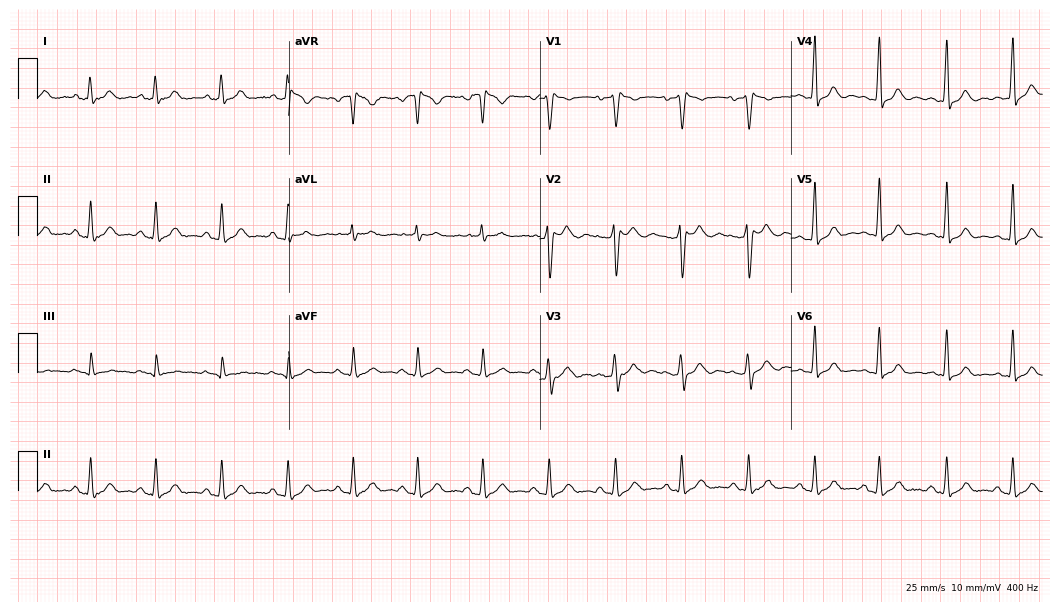
Standard 12-lead ECG recorded from a man, 37 years old (10.2-second recording at 400 Hz). None of these six findings is recorded: first-degree AV block, right bundle branch block (RBBB), left bundle branch block (LBBB), sinus bradycardia, atrial fibrillation (AF), sinus tachycardia. Findings outside these six are not listed.